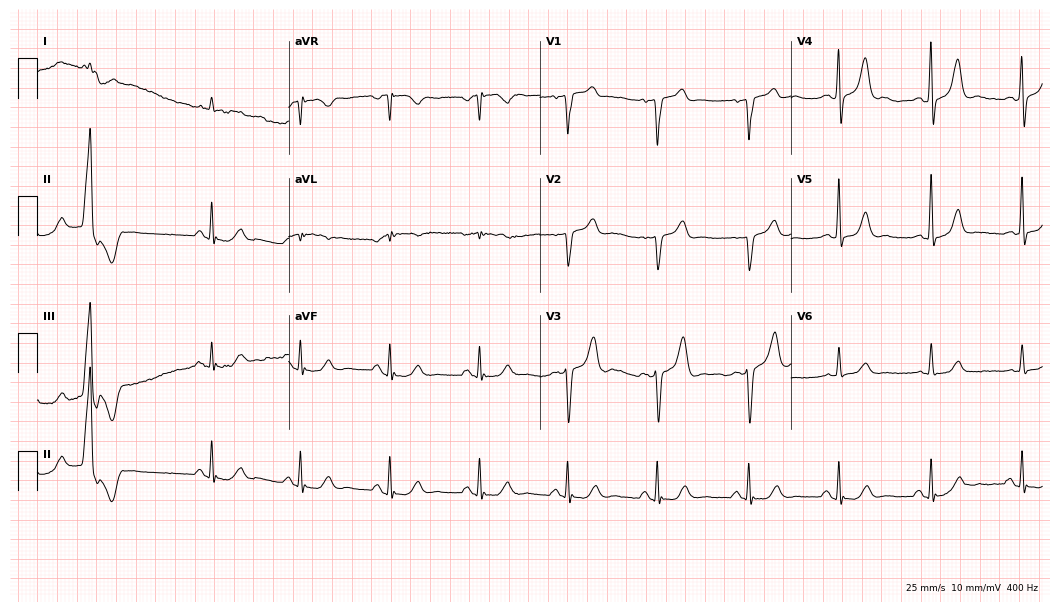
12-lead ECG from a male, 81 years old (10.2-second recording at 400 Hz). Recorded interpretation: within normal limits.